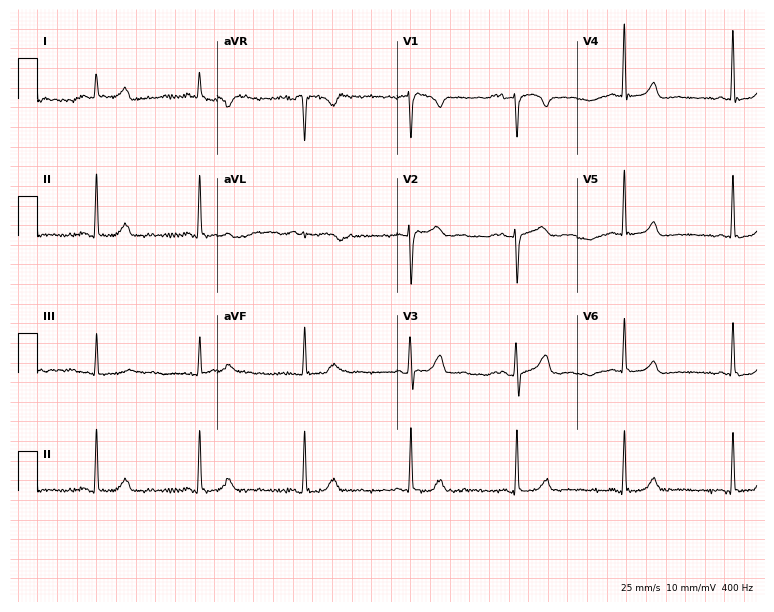
12-lead ECG (7.3-second recording at 400 Hz) from a female, 65 years old. Labelled as a normal ECG.